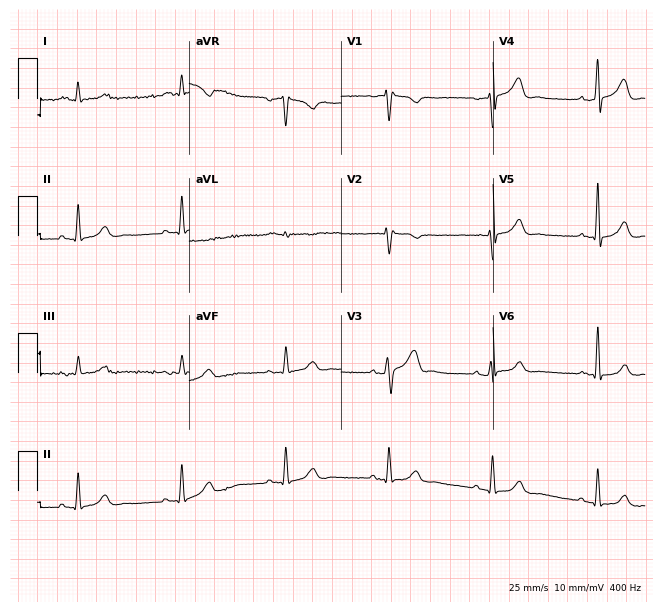
Standard 12-lead ECG recorded from a male, 53 years old. Read as a normal ECG.